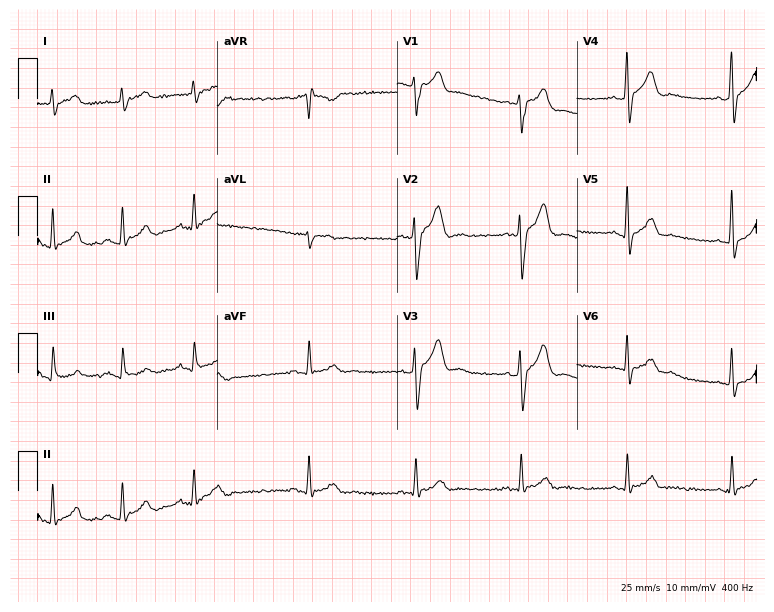
ECG (7.3-second recording at 400 Hz) — a 24-year-old male. Screened for six findings — first-degree AV block, right bundle branch block, left bundle branch block, sinus bradycardia, atrial fibrillation, sinus tachycardia — none is recorded. Findings outside these six are not listed.